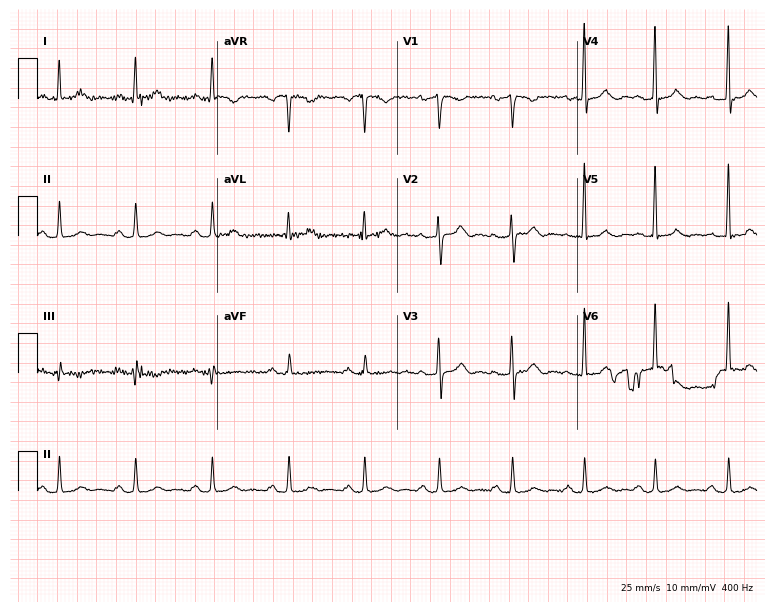
12-lead ECG (7.3-second recording at 400 Hz) from a female, 60 years old. Labelled as a normal ECG.